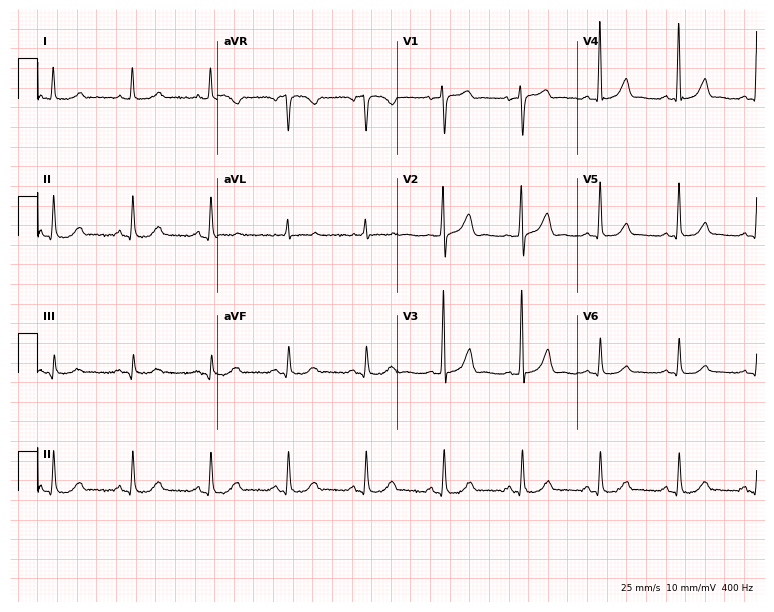
Standard 12-lead ECG recorded from a female patient, 85 years old (7.3-second recording at 400 Hz). Read as a normal ECG.